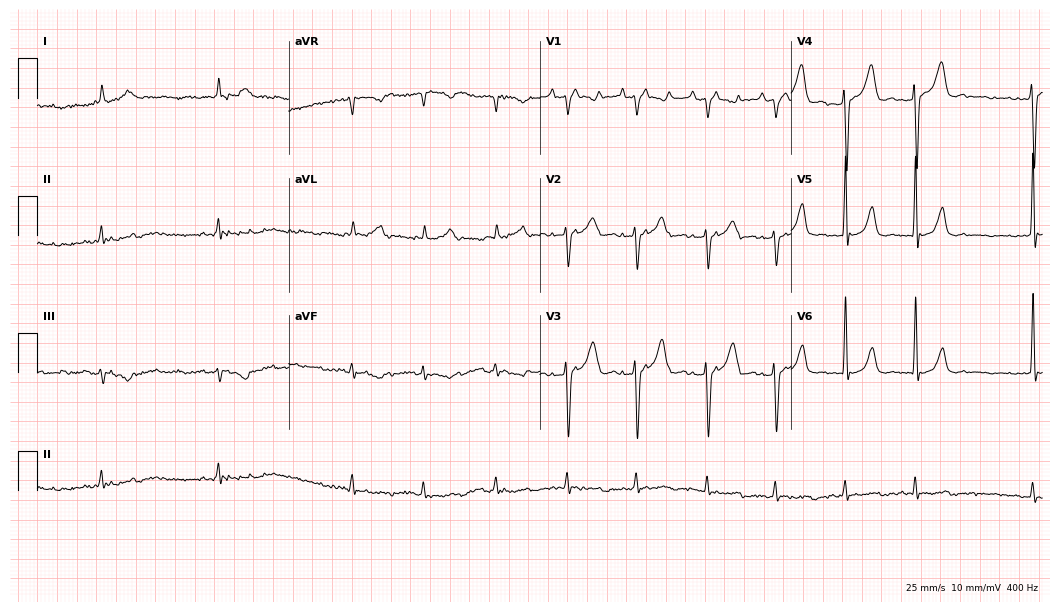
ECG (10.2-second recording at 400 Hz) — an 84-year-old male. Screened for six findings — first-degree AV block, right bundle branch block, left bundle branch block, sinus bradycardia, atrial fibrillation, sinus tachycardia — none is recorded.